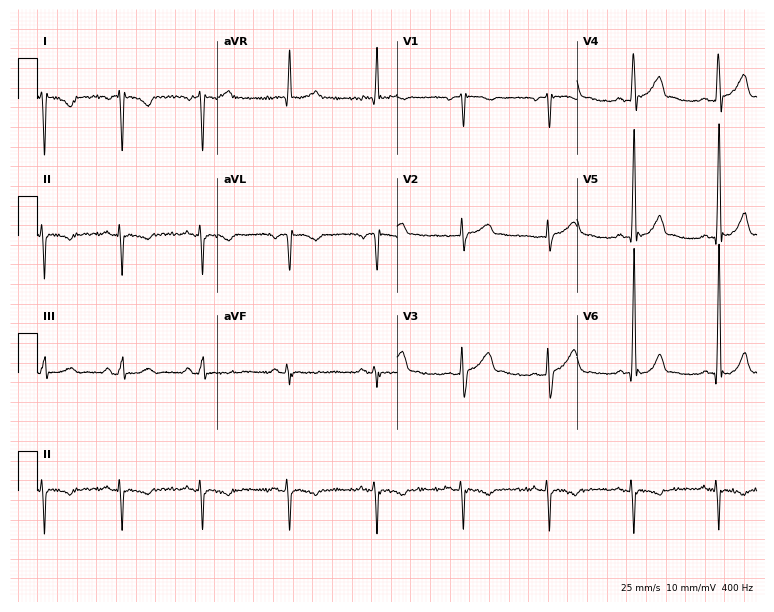
Electrocardiogram, a male, 35 years old. Of the six screened findings (first-degree AV block, right bundle branch block, left bundle branch block, sinus bradycardia, atrial fibrillation, sinus tachycardia), none is recorded.